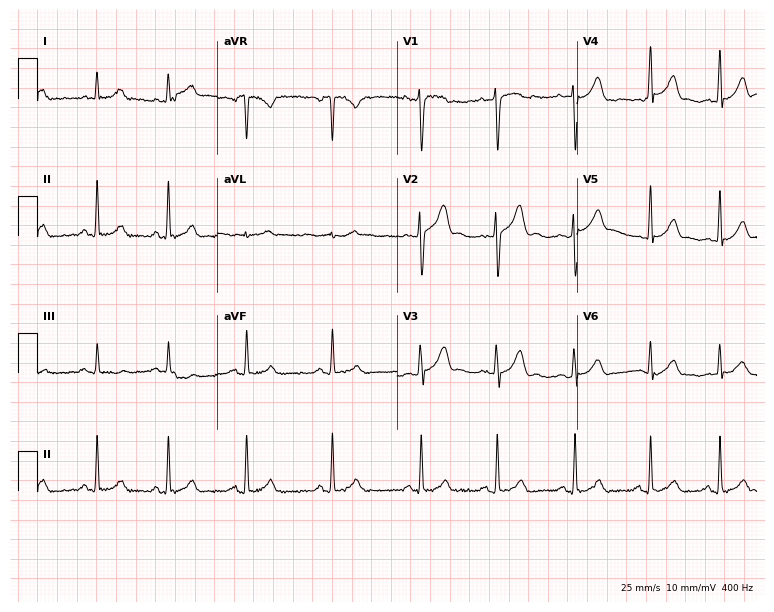
ECG — a male patient, 21 years old. Labelled as a normal ECG.